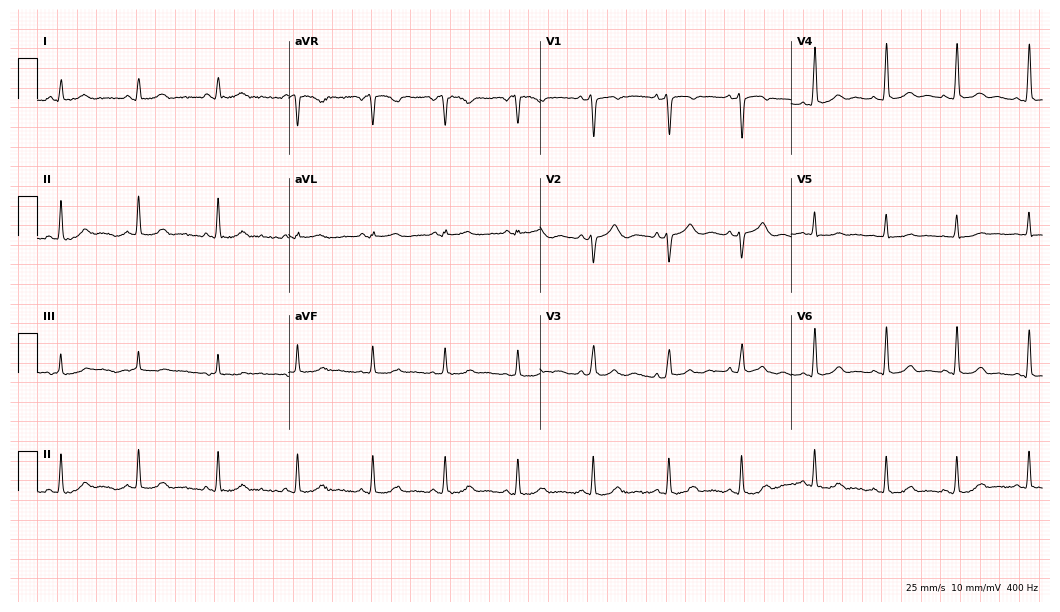
Electrocardiogram (10.2-second recording at 400 Hz), a woman, 30 years old. Overall reading on record: normal ECG.